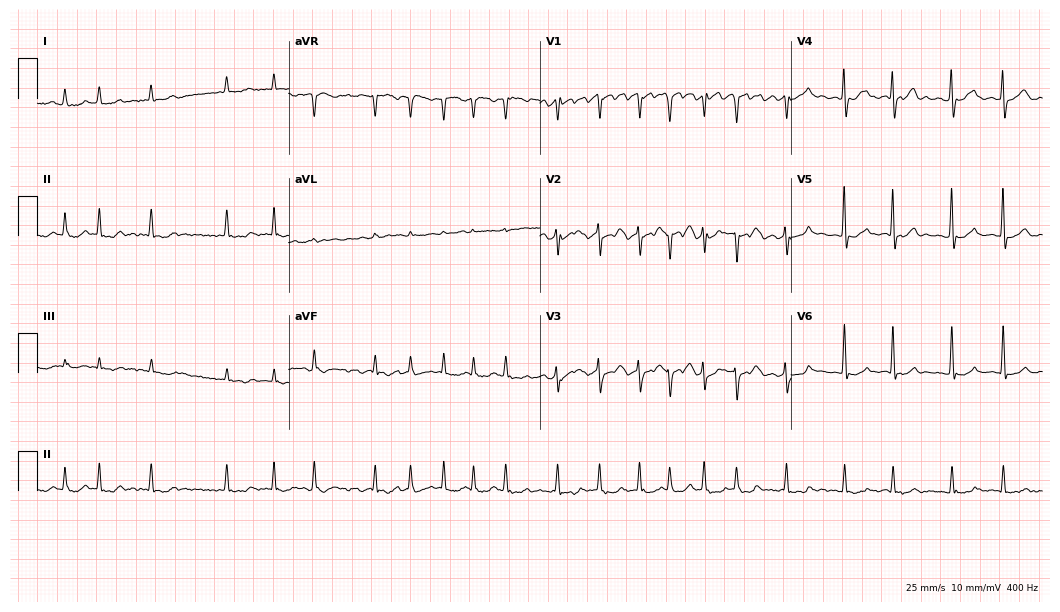
Electrocardiogram (10.2-second recording at 400 Hz), a female patient, 85 years old. Interpretation includes atrial fibrillation (AF).